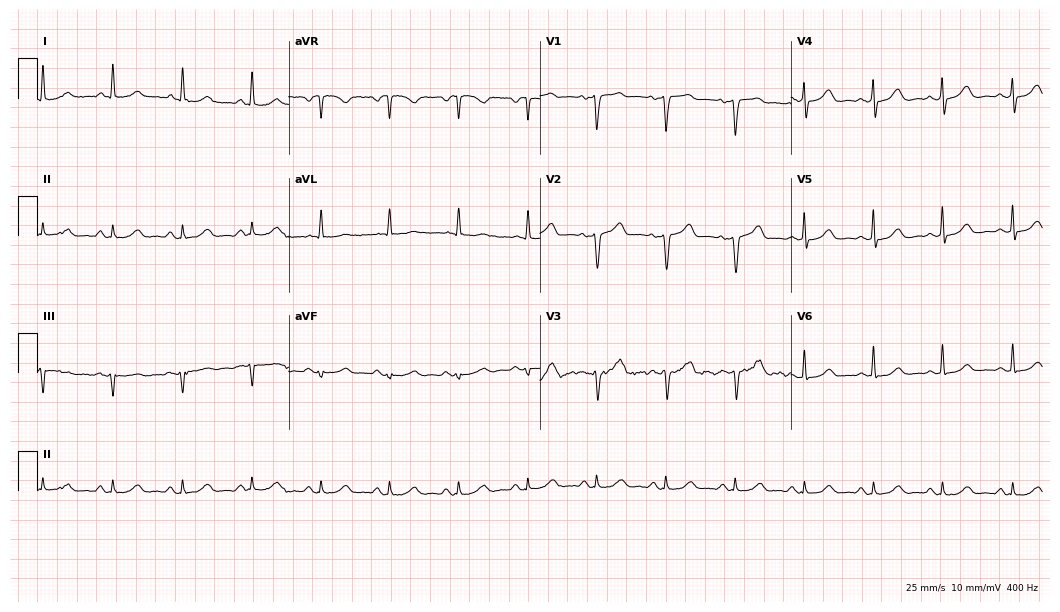
Standard 12-lead ECG recorded from a 69-year-old female patient. None of these six findings is recorded: first-degree AV block, right bundle branch block (RBBB), left bundle branch block (LBBB), sinus bradycardia, atrial fibrillation (AF), sinus tachycardia. Findings outside these six are not listed.